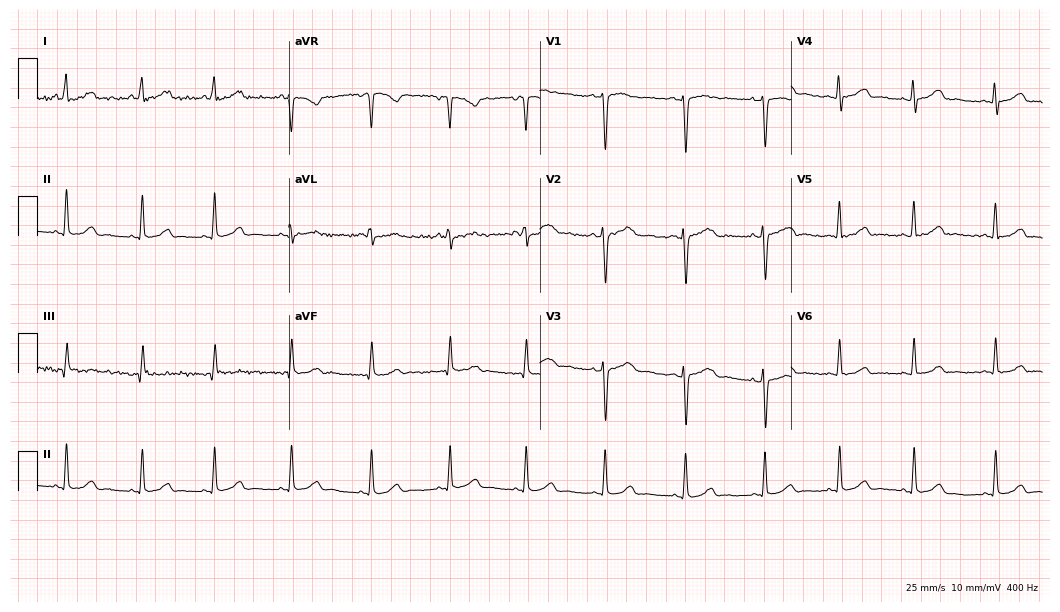
12-lead ECG (10.2-second recording at 400 Hz) from a female, 26 years old. Screened for six findings — first-degree AV block, right bundle branch block, left bundle branch block, sinus bradycardia, atrial fibrillation, sinus tachycardia — none is recorded. Only these six findings were labelled.